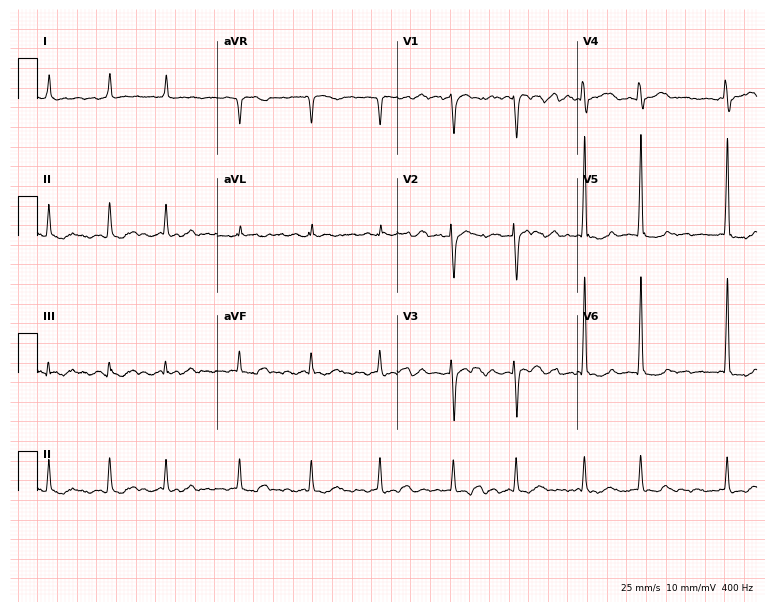
Standard 12-lead ECG recorded from a female patient, 75 years old. The tracing shows atrial fibrillation.